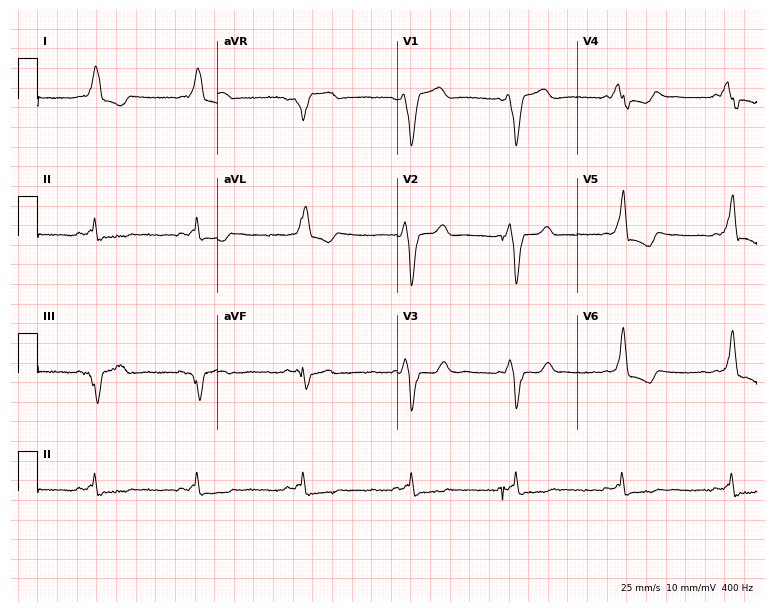
Standard 12-lead ECG recorded from a 54-year-old female patient. None of these six findings is recorded: first-degree AV block, right bundle branch block (RBBB), left bundle branch block (LBBB), sinus bradycardia, atrial fibrillation (AF), sinus tachycardia.